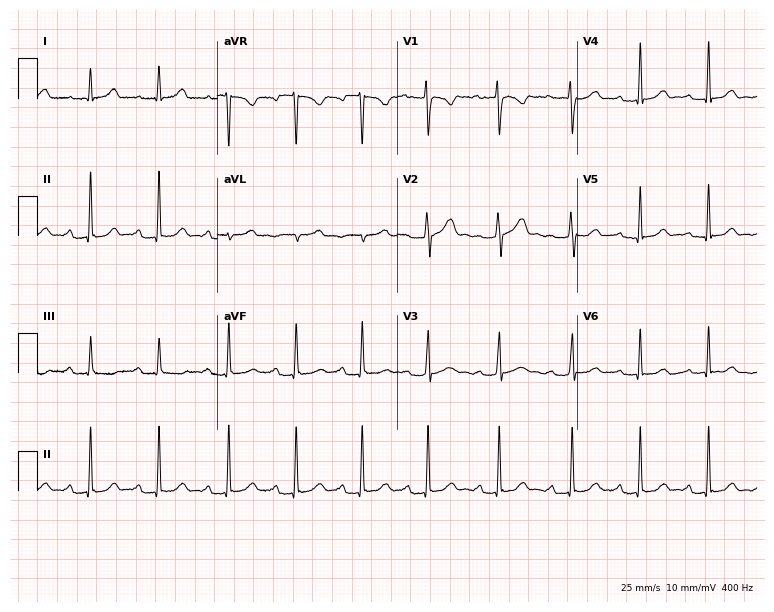
ECG (7.3-second recording at 400 Hz) — a 32-year-old woman. Screened for six findings — first-degree AV block, right bundle branch block, left bundle branch block, sinus bradycardia, atrial fibrillation, sinus tachycardia — none is recorded. Findings outside these six are not listed.